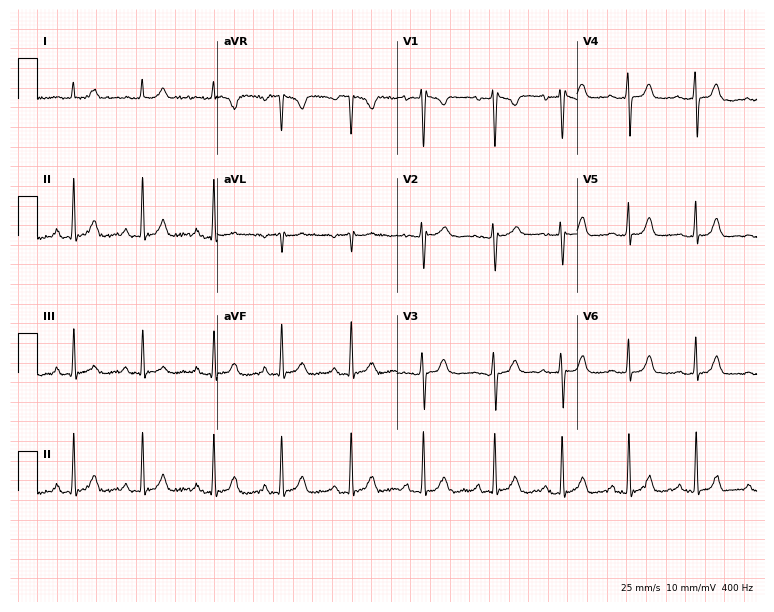
12-lead ECG (7.3-second recording at 400 Hz) from a 24-year-old woman. Screened for six findings — first-degree AV block, right bundle branch block, left bundle branch block, sinus bradycardia, atrial fibrillation, sinus tachycardia — none is recorded. Only these six findings were labelled.